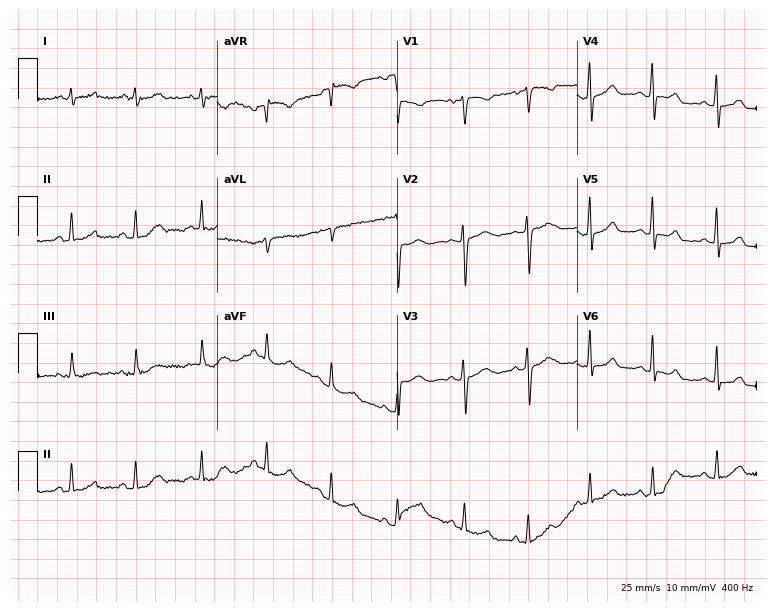
Standard 12-lead ECG recorded from a woman, 20 years old. None of these six findings is recorded: first-degree AV block, right bundle branch block, left bundle branch block, sinus bradycardia, atrial fibrillation, sinus tachycardia. Other findings, if any, are not listed.